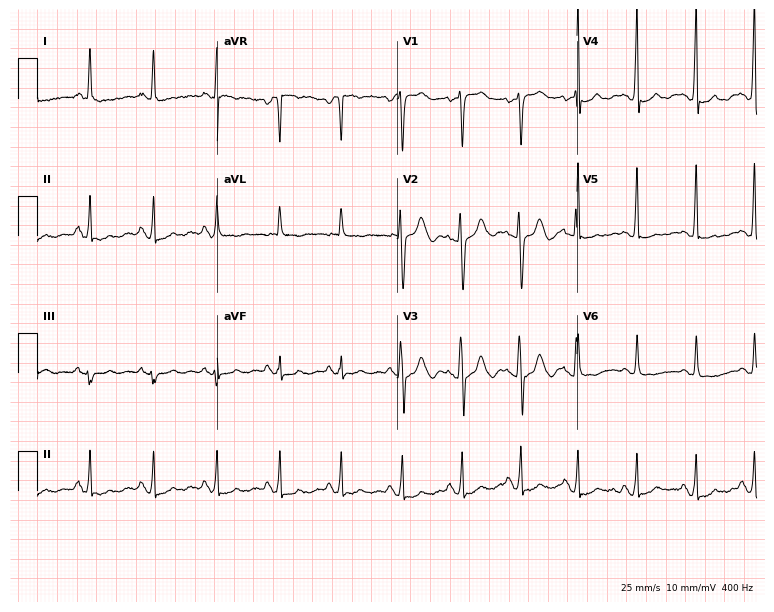
12-lead ECG from a woman, 56 years old. No first-degree AV block, right bundle branch block, left bundle branch block, sinus bradycardia, atrial fibrillation or sinus tachycardia recorded for this tracing. Findings outside these six are not listed.